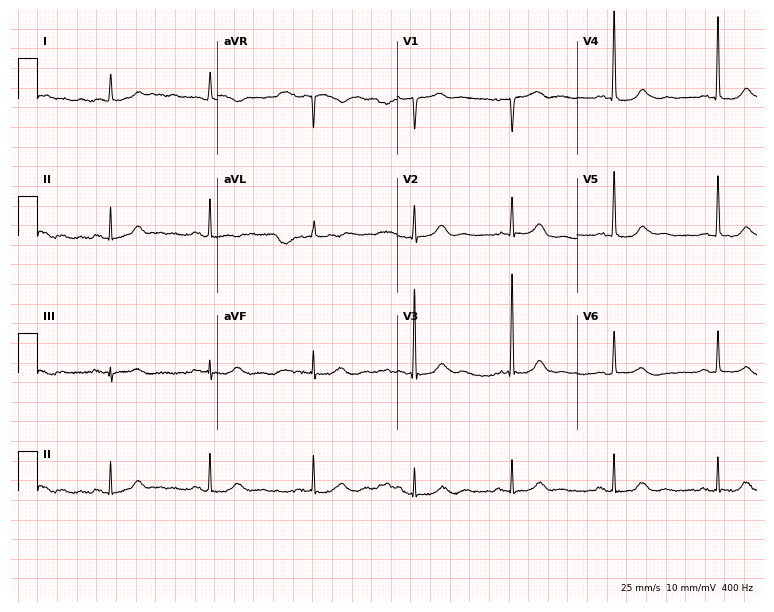
ECG — an 82-year-old female. Screened for six findings — first-degree AV block, right bundle branch block, left bundle branch block, sinus bradycardia, atrial fibrillation, sinus tachycardia — none is recorded. Findings outside these six are not listed.